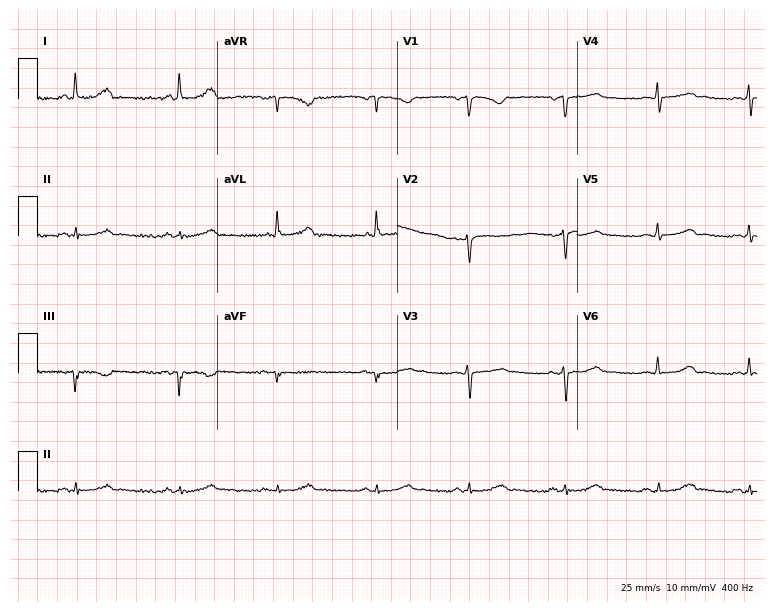
12-lead ECG from a 40-year-old female (7.3-second recording at 400 Hz). No first-degree AV block, right bundle branch block (RBBB), left bundle branch block (LBBB), sinus bradycardia, atrial fibrillation (AF) or sinus tachycardia recorded for this tracing. Only these six findings were labelled.